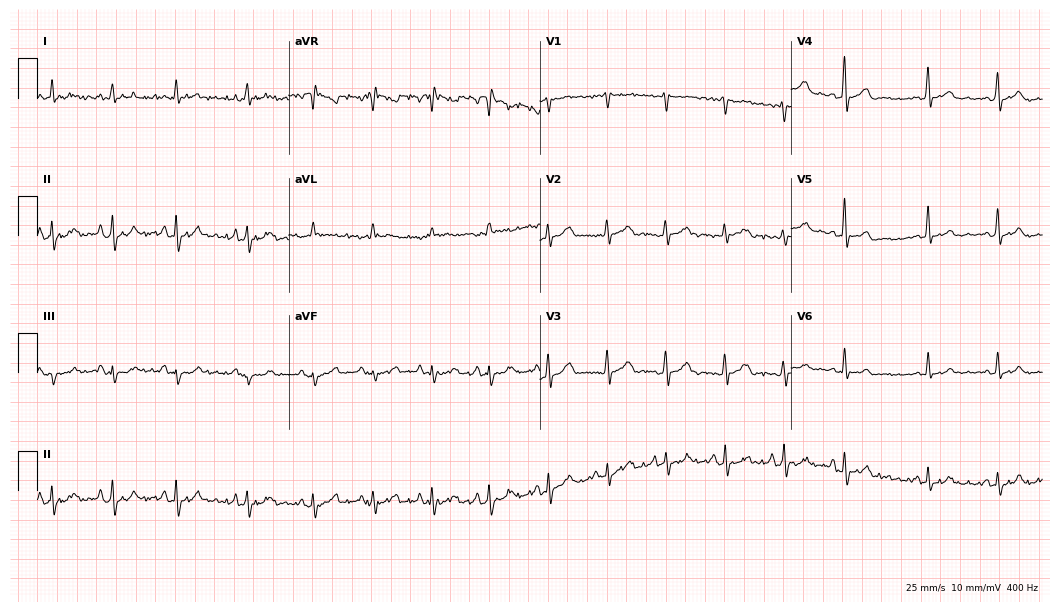
12-lead ECG from a 30-year-old female patient. Recorded interpretation: within normal limits.